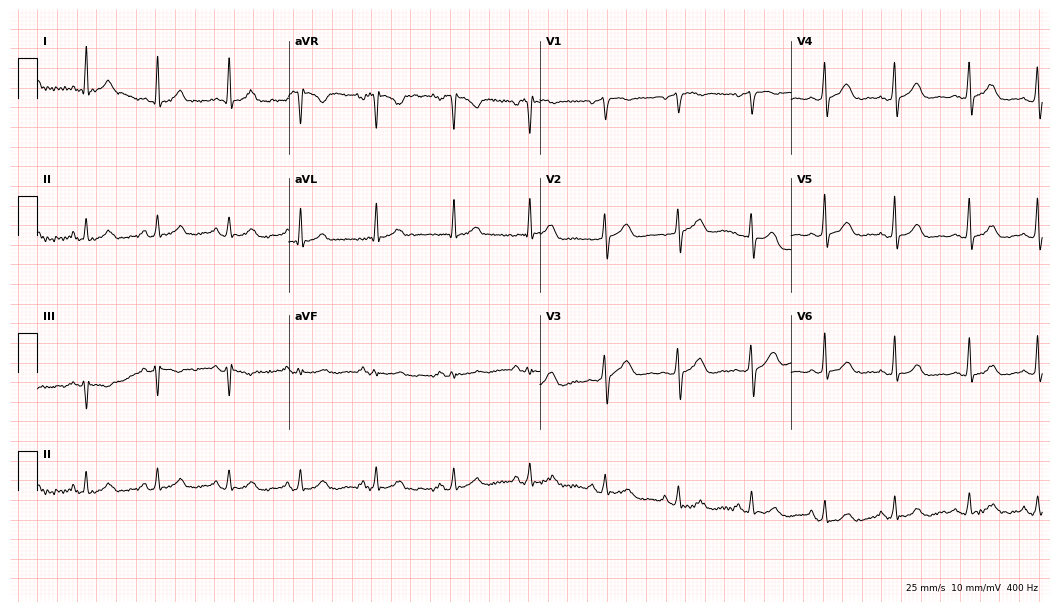
Electrocardiogram (10.2-second recording at 400 Hz), a 58-year-old woman. Overall reading on record: normal ECG.